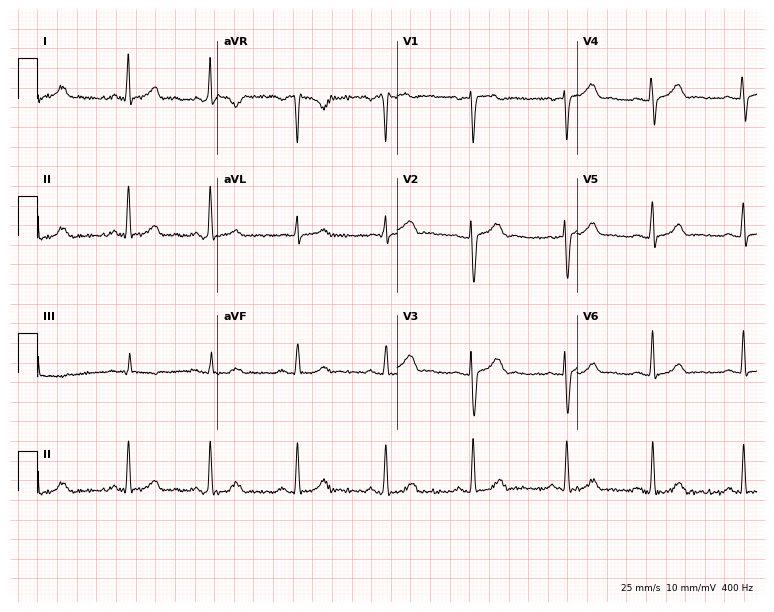
Standard 12-lead ECG recorded from a 36-year-old woman. Read as a normal ECG.